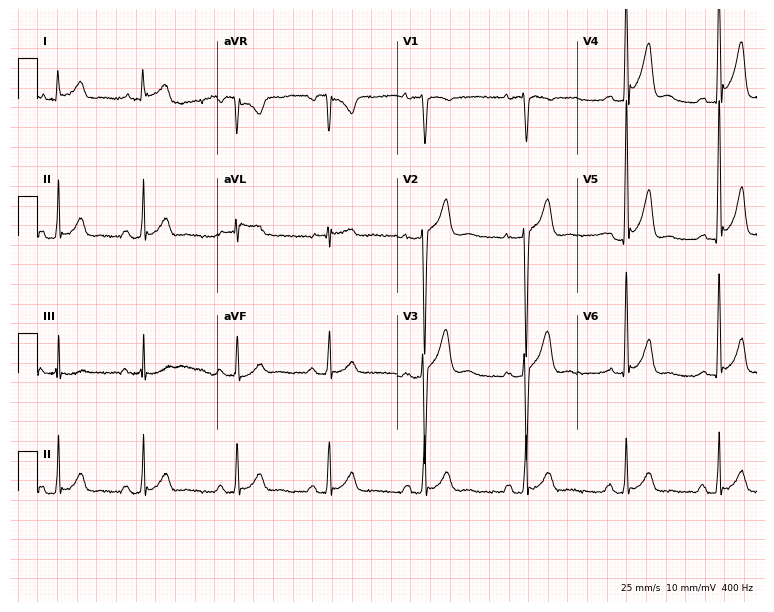
Resting 12-lead electrocardiogram (7.3-second recording at 400 Hz). Patient: a 21-year-old man. None of these six findings is recorded: first-degree AV block, right bundle branch block, left bundle branch block, sinus bradycardia, atrial fibrillation, sinus tachycardia. Only these six findings were labelled.